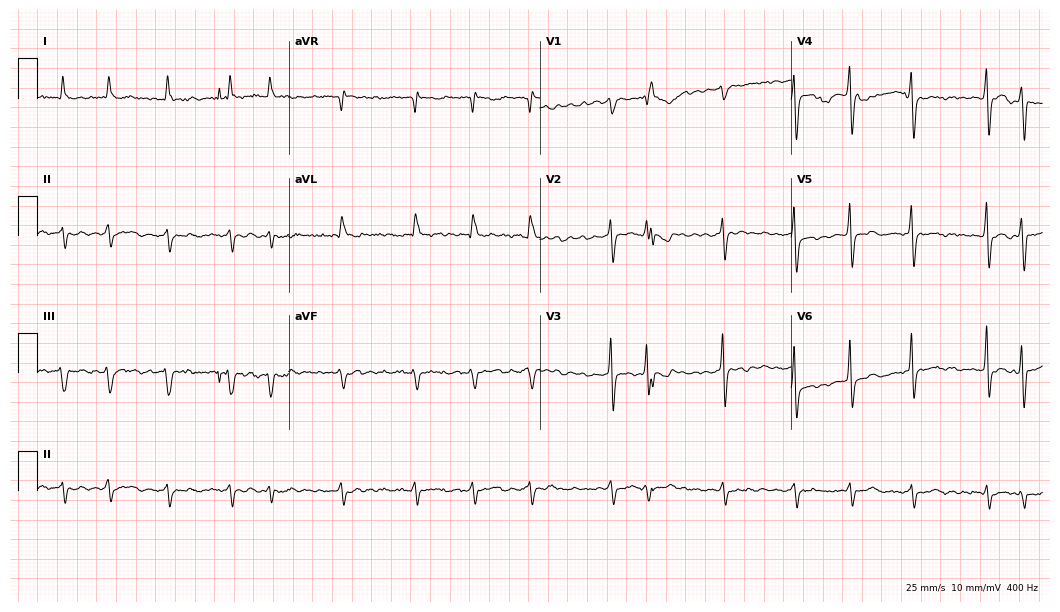
Standard 12-lead ECG recorded from a male, 70 years old (10.2-second recording at 400 Hz). The tracing shows atrial fibrillation.